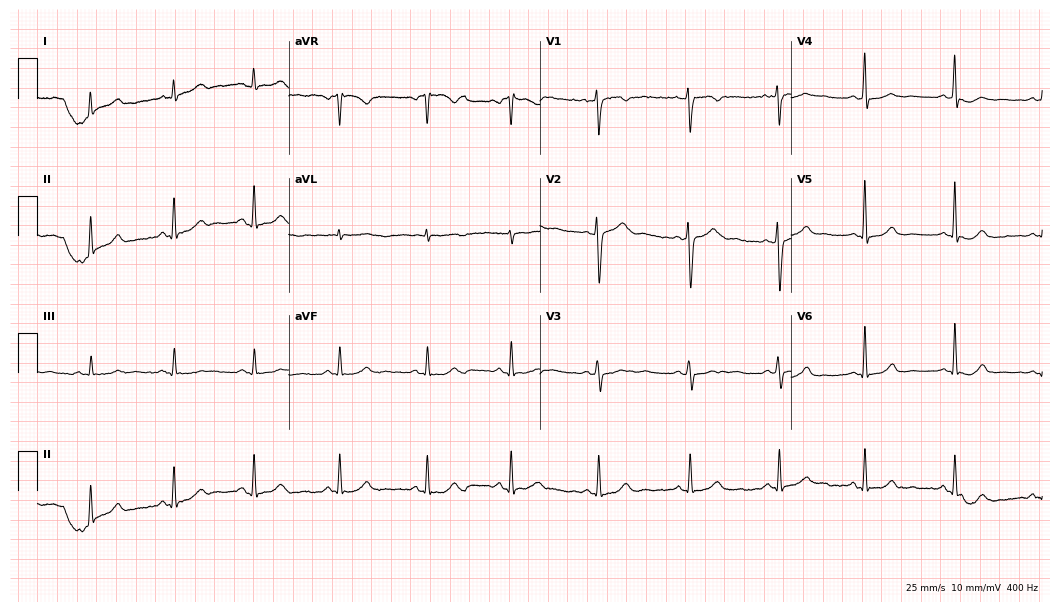
12-lead ECG from a 32-year-old female. Recorded interpretation: within normal limits.